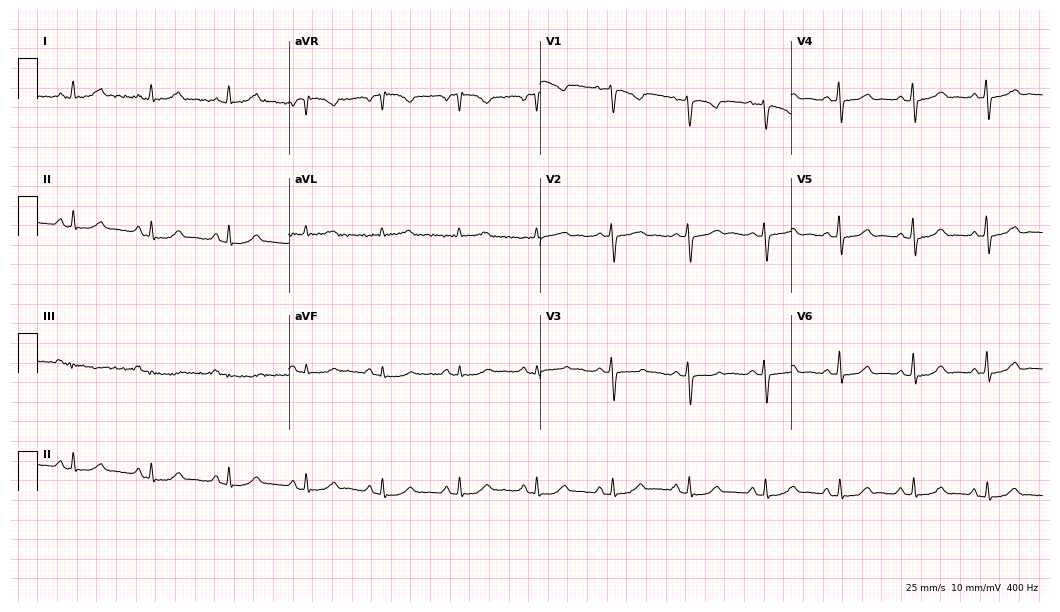
12-lead ECG from a female, 45 years old. Labelled as a normal ECG.